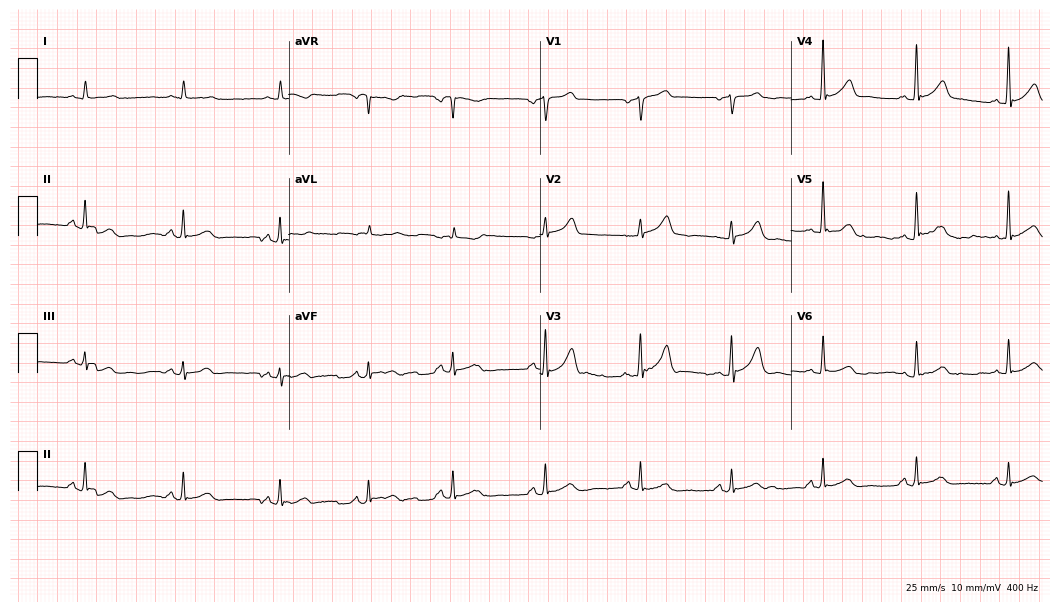
Resting 12-lead electrocardiogram. Patient: a 69-year-old male. Read as a normal ECG.